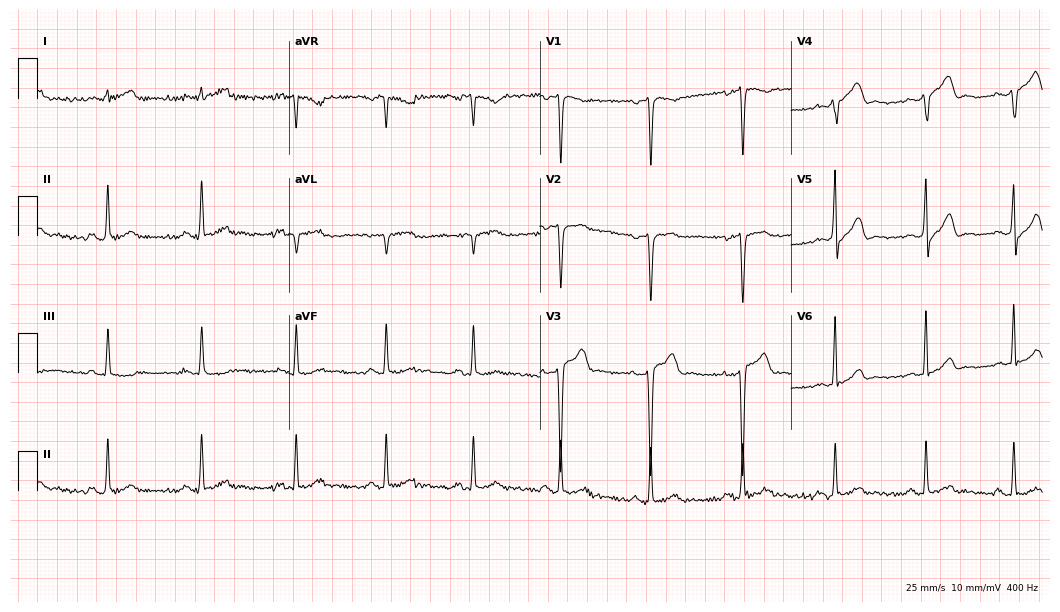
Resting 12-lead electrocardiogram. Patient: a 39-year-old female. Read as a normal ECG.